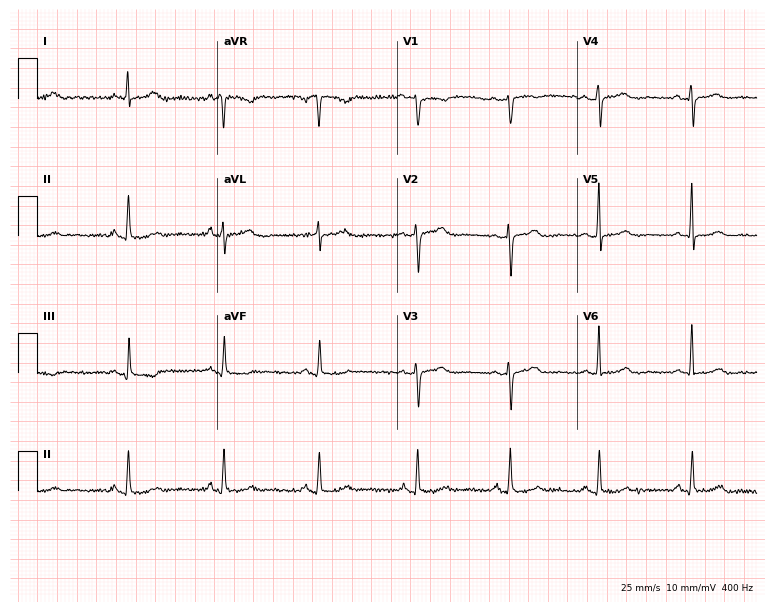
12-lead ECG from a female, 71 years old (7.3-second recording at 400 Hz). No first-degree AV block, right bundle branch block (RBBB), left bundle branch block (LBBB), sinus bradycardia, atrial fibrillation (AF) or sinus tachycardia recorded for this tracing. Only these six findings were labelled.